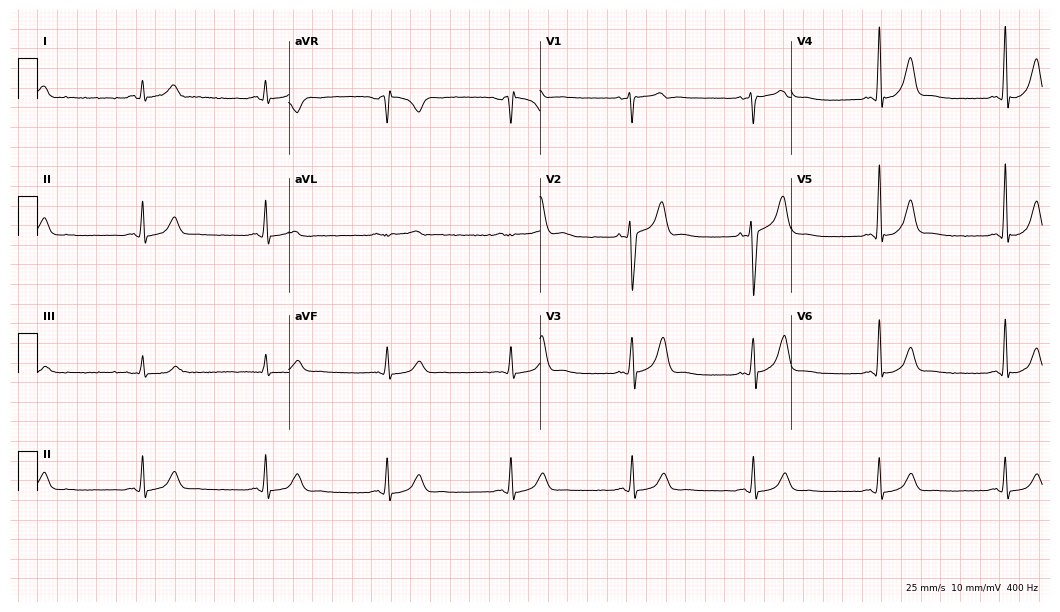
Standard 12-lead ECG recorded from a 64-year-old male patient (10.2-second recording at 400 Hz). The tracing shows sinus bradycardia (a sinus rate of 50 beats per minute or less).